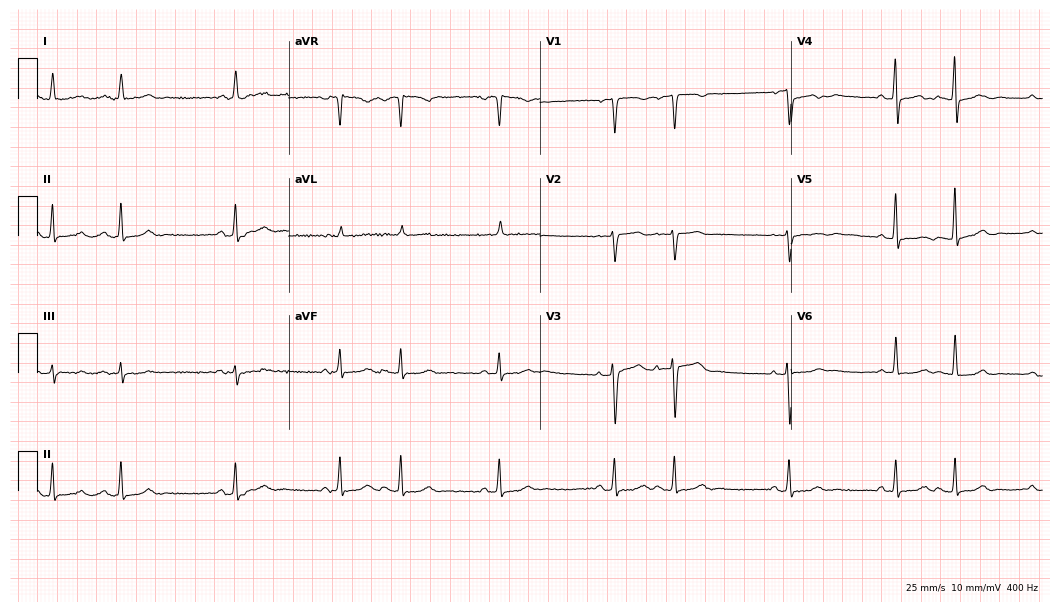
12-lead ECG from a 79-year-old female patient (10.2-second recording at 400 Hz). No first-degree AV block, right bundle branch block (RBBB), left bundle branch block (LBBB), sinus bradycardia, atrial fibrillation (AF) or sinus tachycardia recorded for this tracing.